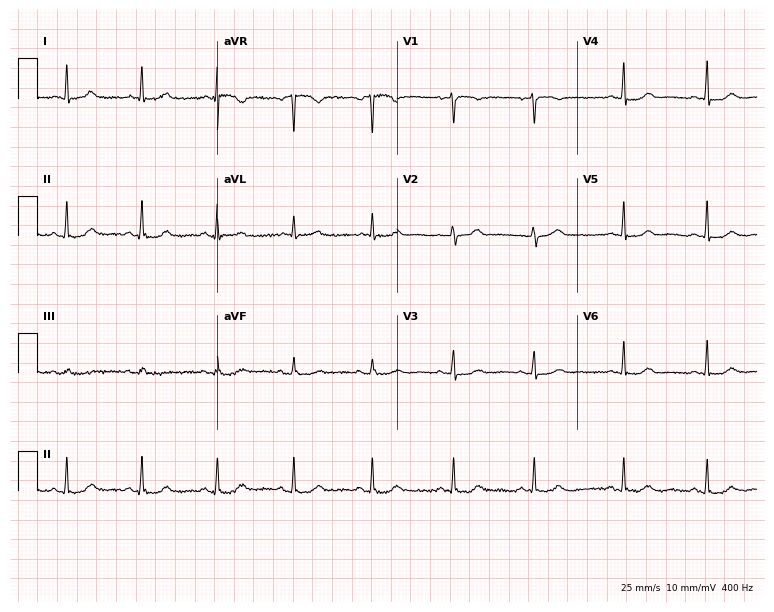
Electrocardiogram (7.3-second recording at 400 Hz), a 51-year-old woman. Overall reading on record: normal ECG.